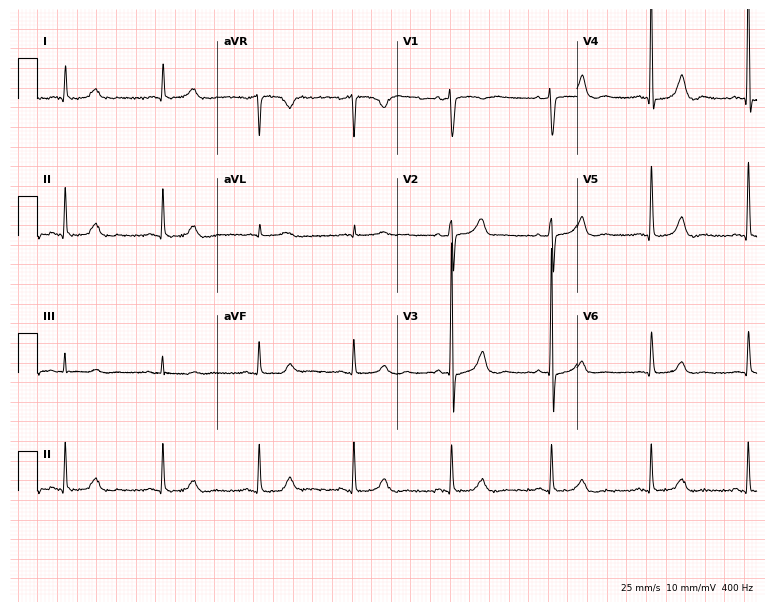
ECG (7.3-second recording at 400 Hz) — a male patient, 84 years old. Labelled as a normal ECG.